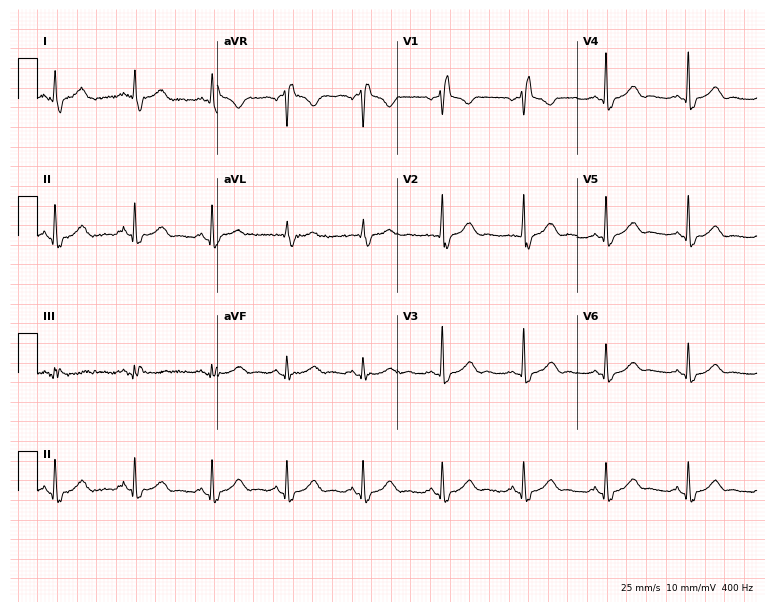
12-lead ECG from a 56-year-old female patient. Shows right bundle branch block (RBBB).